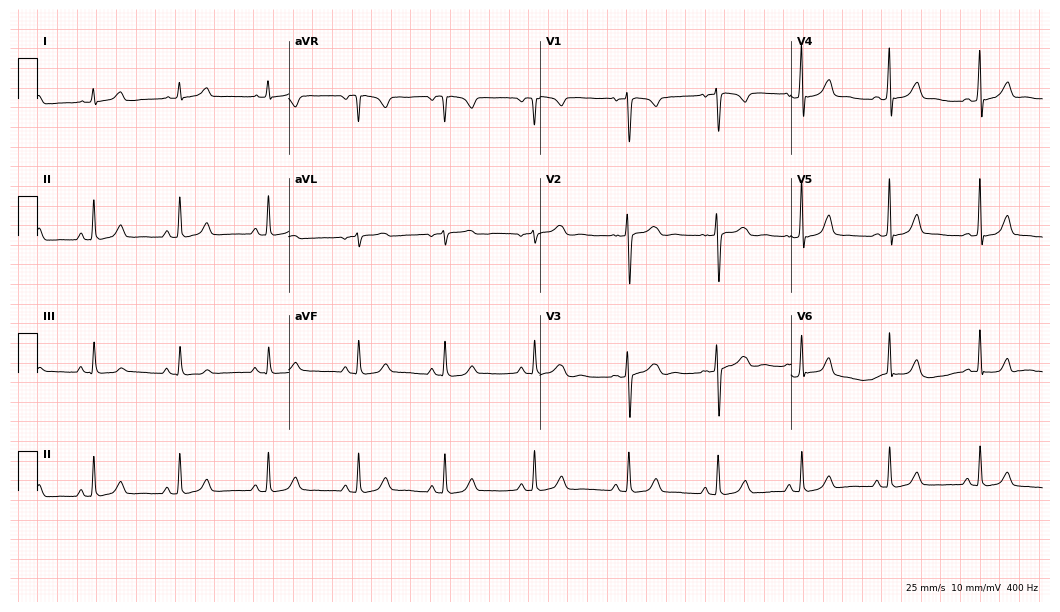
Standard 12-lead ECG recorded from a female patient, 27 years old. Read as a normal ECG.